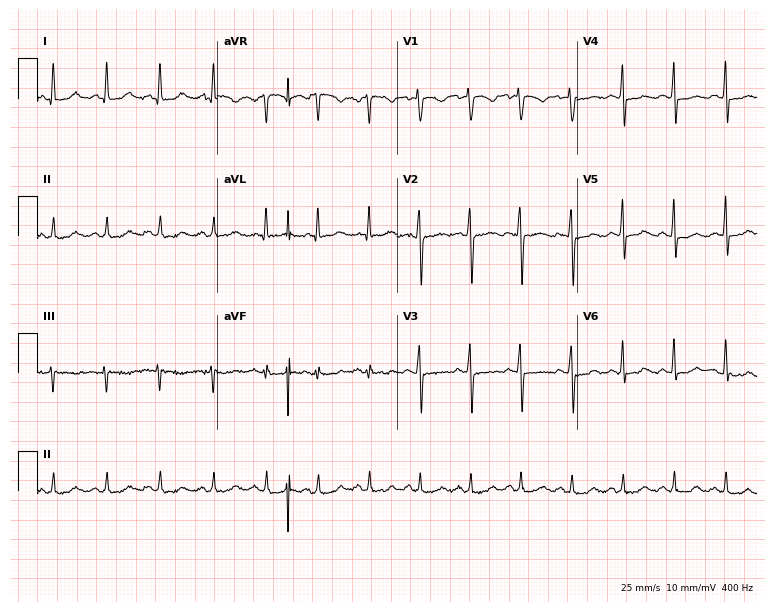
Resting 12-lead electrocardiogram (7.3-second recording at 400 Hz). Patient: a 47-year-old female. The tracing shows sinus tachycardia (a sinus rate of 100 beats per minute or more).